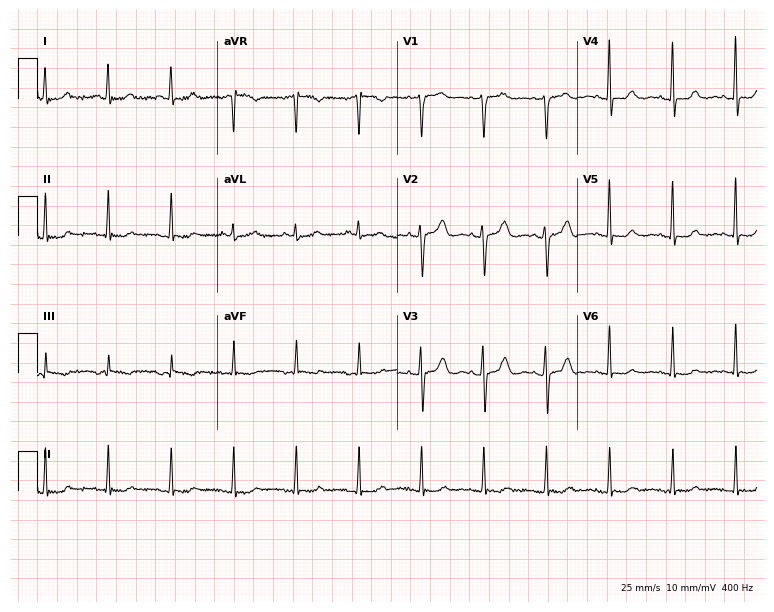
ECG (7.3-second recording at 400 Hz) — a 54-year-old female patient. Screened for six findings — first-degree AV block, right bundle branch block, left bundle branch block, sinus bradycardia, atrial fibrillation, sinus tachycardia — none is recorded. Other findings, if any, are not listed.